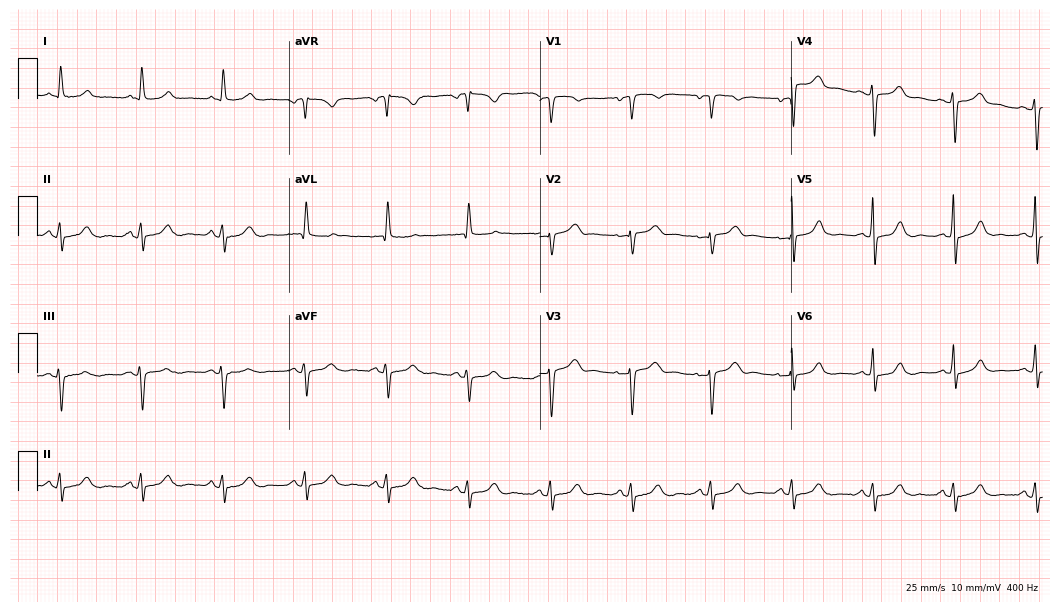
Electrocardiogram, a female, 62 years old. Of the six screened findings (first-degree AV block, right bundle branch block, left bundle branch block, sinus bradycardia, atrial fibrillation, sinus tachycardia), none is recorded.